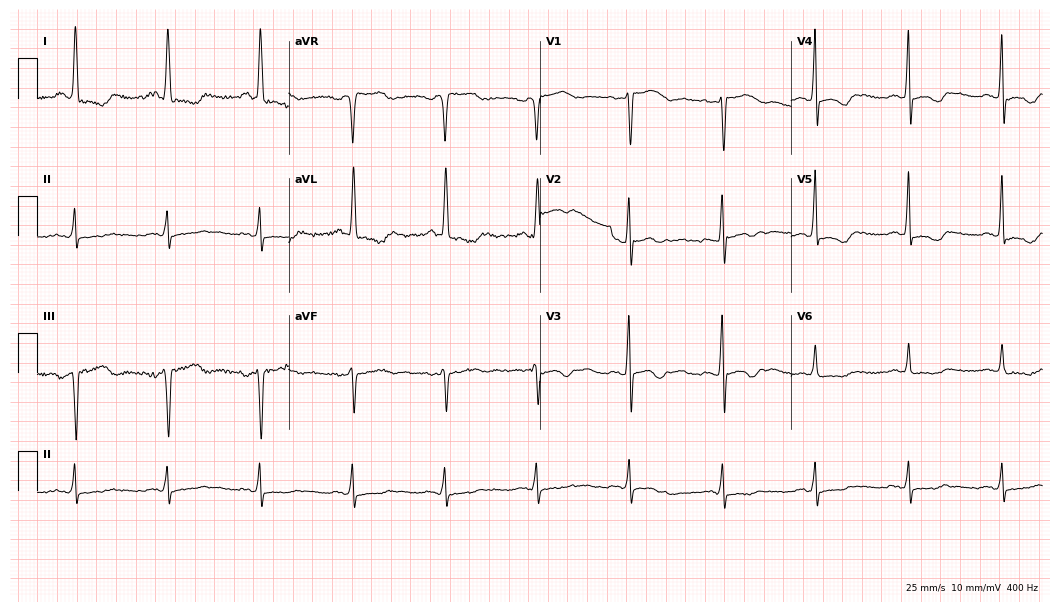
12-lead ECG from a 60-year-old woman. No first-degree AV block, right bundle branch block (RBBB), left bundle branch block (LBBB), sinus bradycardia, atrial fibrillation (AF) or sinus tachycardia recorded for this tracing. Other findings, if any, are not listed.